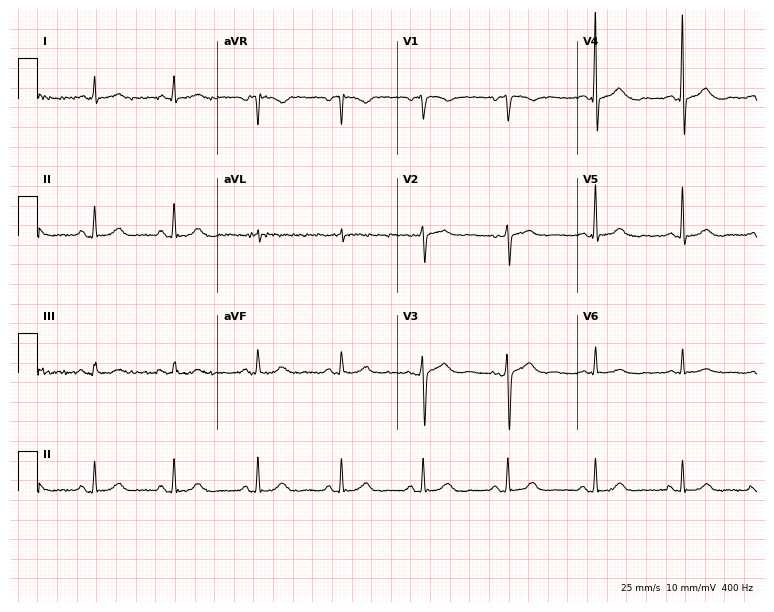
12-lead ECG (7.3-second recording at 400 Hz) from a female, 68 years old. Labelled as a normal ECG.